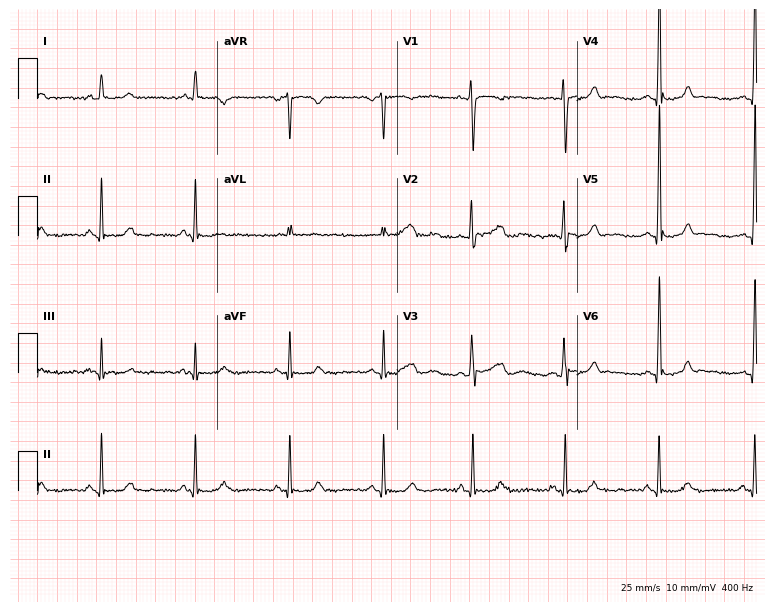
12-lead ECG from a female patient, 44 years old (7.3-second recording at 400 Hz). No first-degree AV block, right bundle branch block (RBBB), left bundle branch block (LBBB), sinus bradycardia, atrial fibrillation (AF) or sinus tachycardia recorded for this tracing. Only these six findings were labelled.